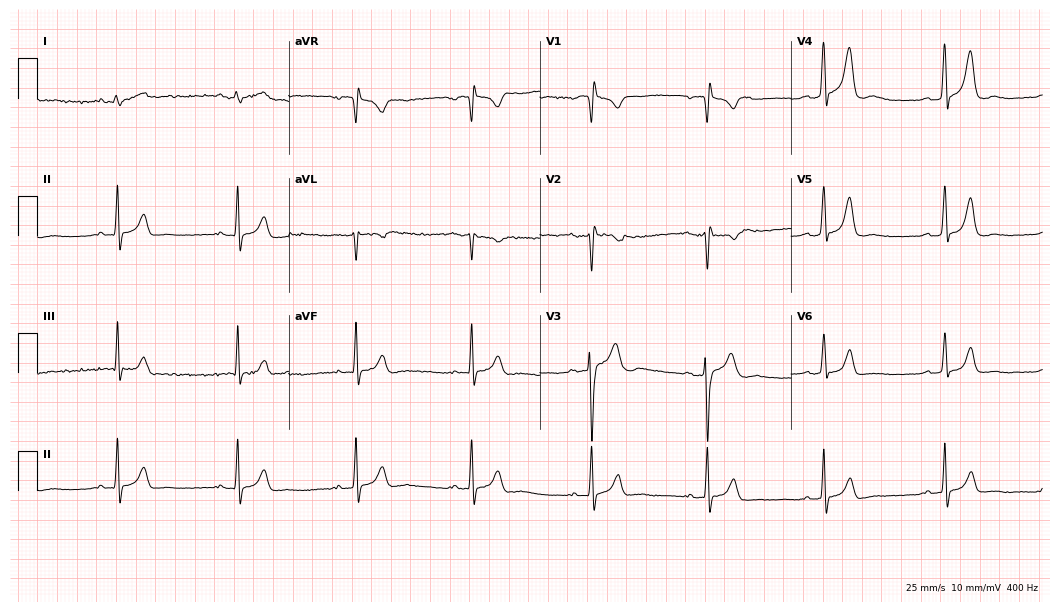
12-lead ECG from a male, 29 years old. No first-degree AV block, right bundle branch block, left bundle branch block, sinus bradycardia, atrial fibrillation or sinus tachycardia recorded for this tracing.